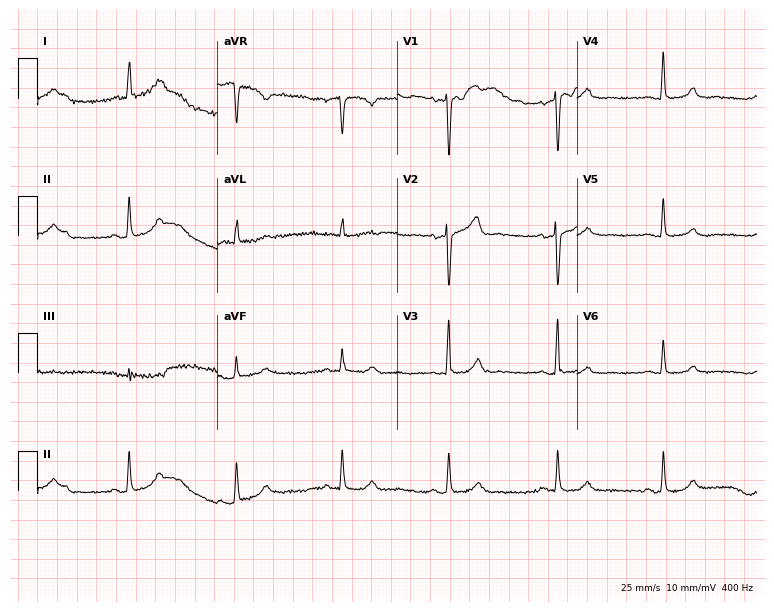
ECG — a female patient, 75 years old. Labelled as a normal ECG.